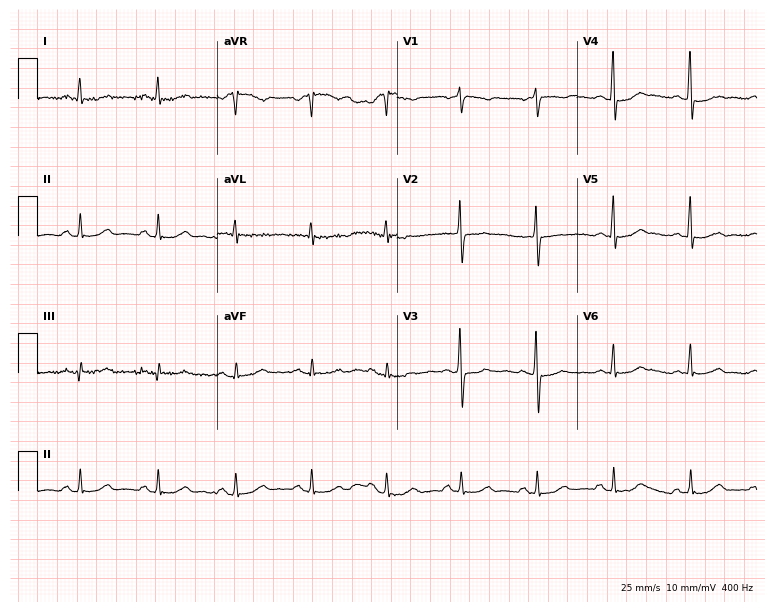
Standard 12-lead ECG recorded from a male patient, 65 years old. None of these six findings is recorded: first-degree AV block, right bundle branch block (RBBB), left bundle branch block (LBBB), sinus bradycardia, atrial fibrillation (AF), sinus tachycardia.